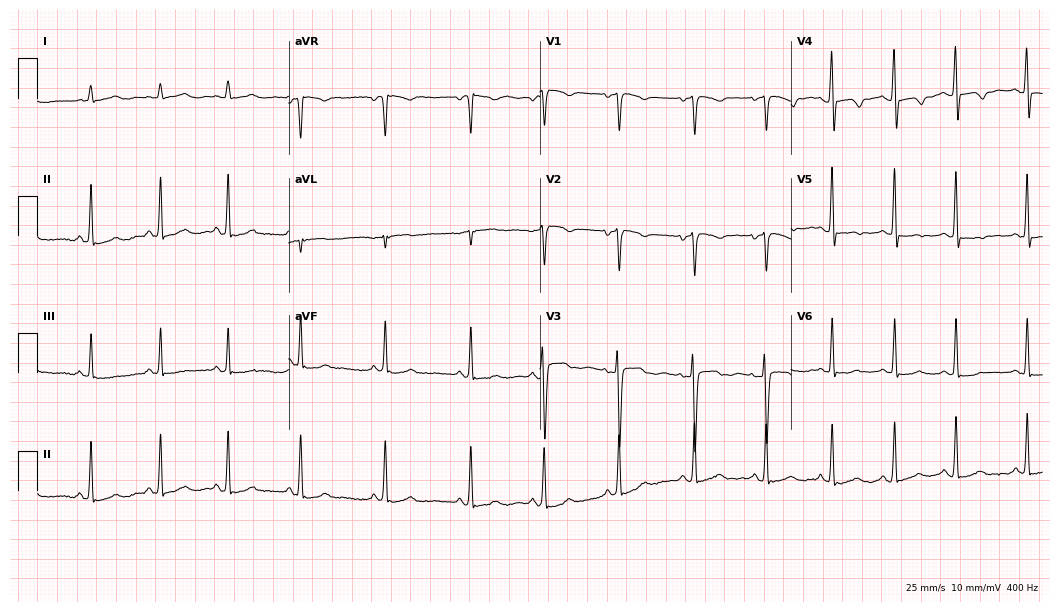
Resting 12-lead electrocardiogram (10.2-second recording at 400 Hz). Patient: a female, 17 years old. Read as a normal ECG.